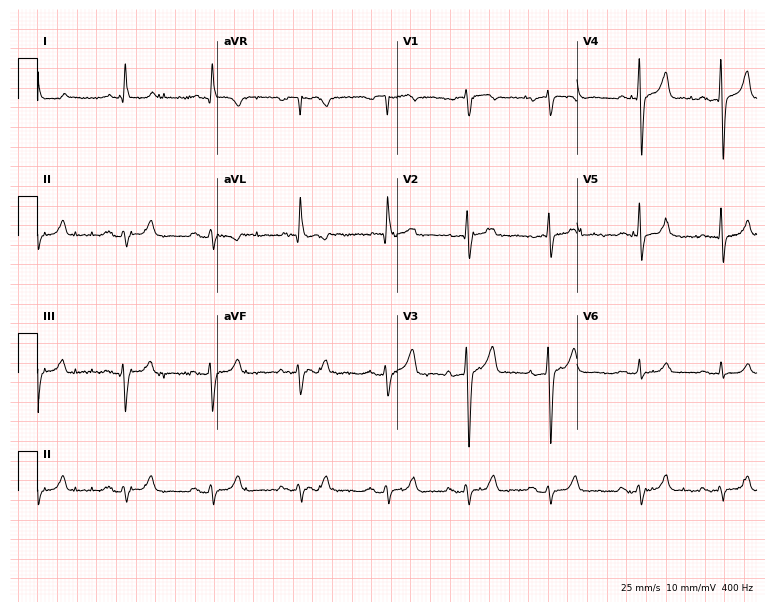
12-lead ECG from a 76-year-old male patient. No first-degree AV block, right bundle branch block (RBBB), left bundle branch block (LBBB), sinus bradycardia, atrial fibrillation (AF) or sinus tachycardia recorded for this tracing. Only these six findings were labelled.